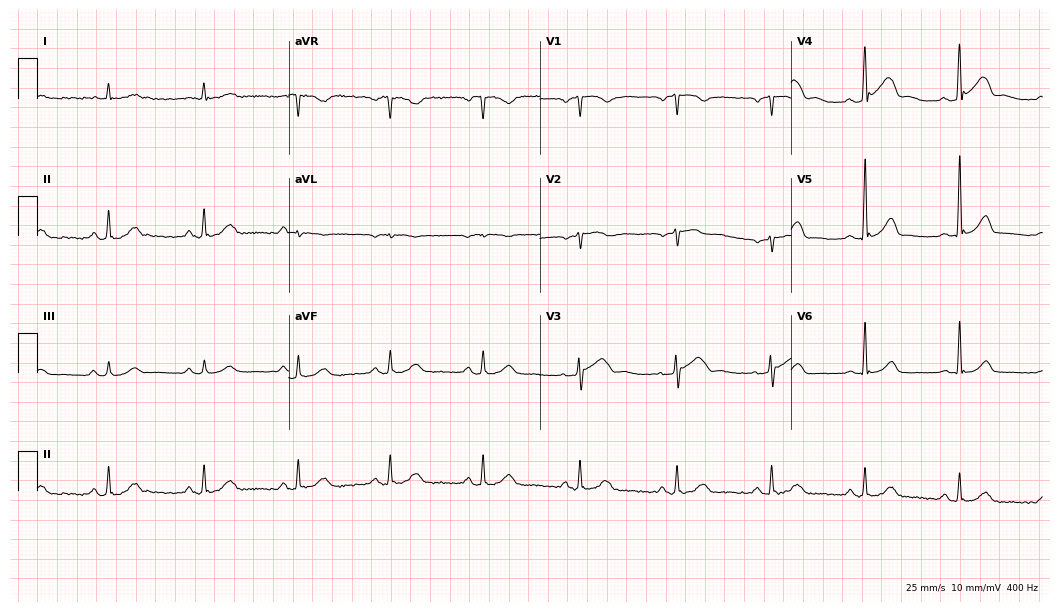
12-lead ECG from a man, 65 years old. Screened for six findings — first-degree AV block, right bundle branch block, left bundle branch block, sinus bradycardia, atrial fibrillation, sinus tachycardia — none is recorded.